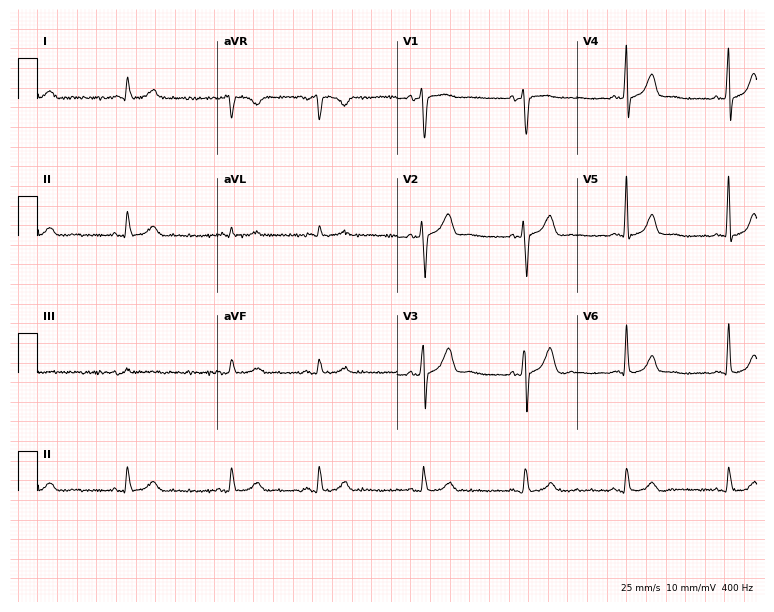
Standard 12-lead ECG recorded from a male patient, 82 years old. Read as a normal ECG.